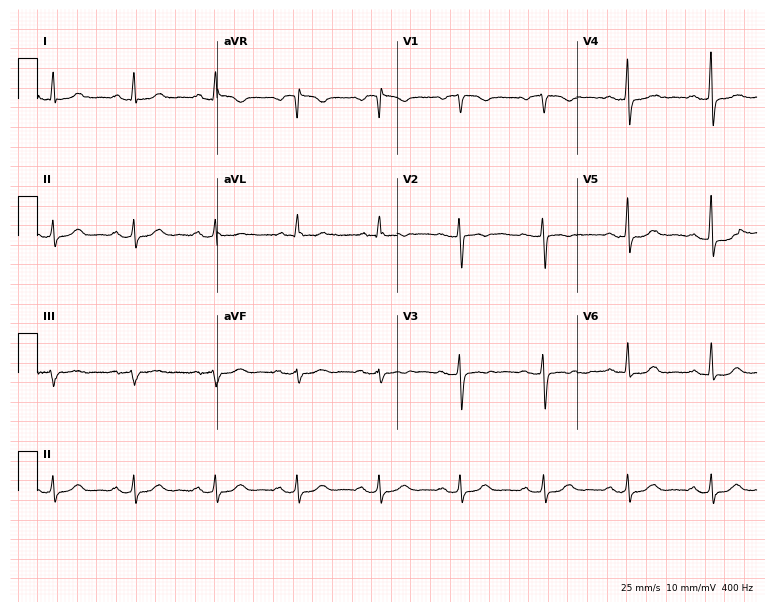
12-lead ECG (7.3-second recording at 400 Hz) from a 59-year-old female. Labelled as a normal ECG.